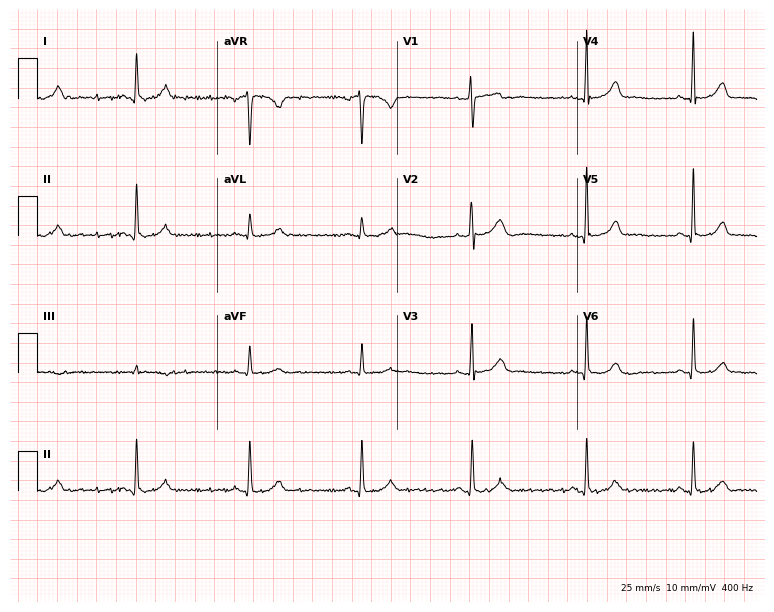
ECG (7.3-second recording at 400 Hz) — a female patient, 36 years old. Screened for six findings — first-degree AV block, right bundle branch block, left bundle branch block, sinus bradycardia, atrial fibrillation, sinus tachycardia — none is recorded. Only these six findings were labelled.